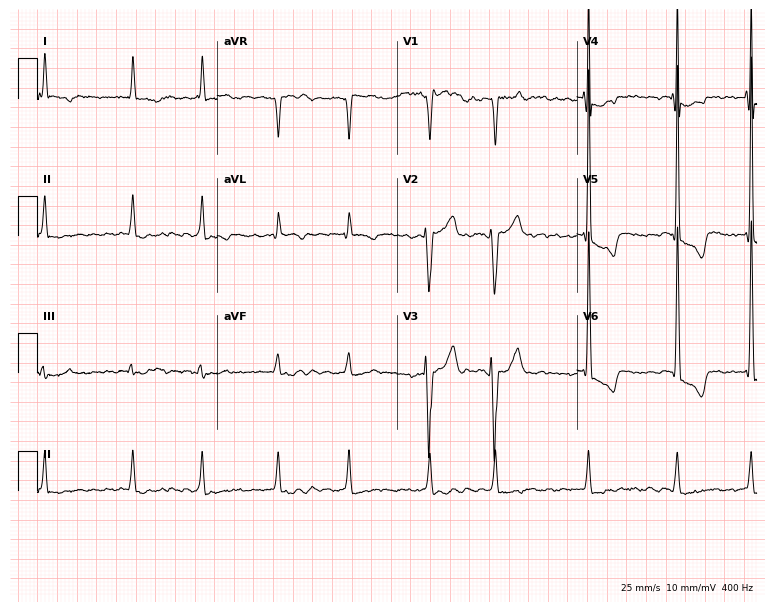
ECG — a female patient, 69 years old. Findings include atrial fibrillation.